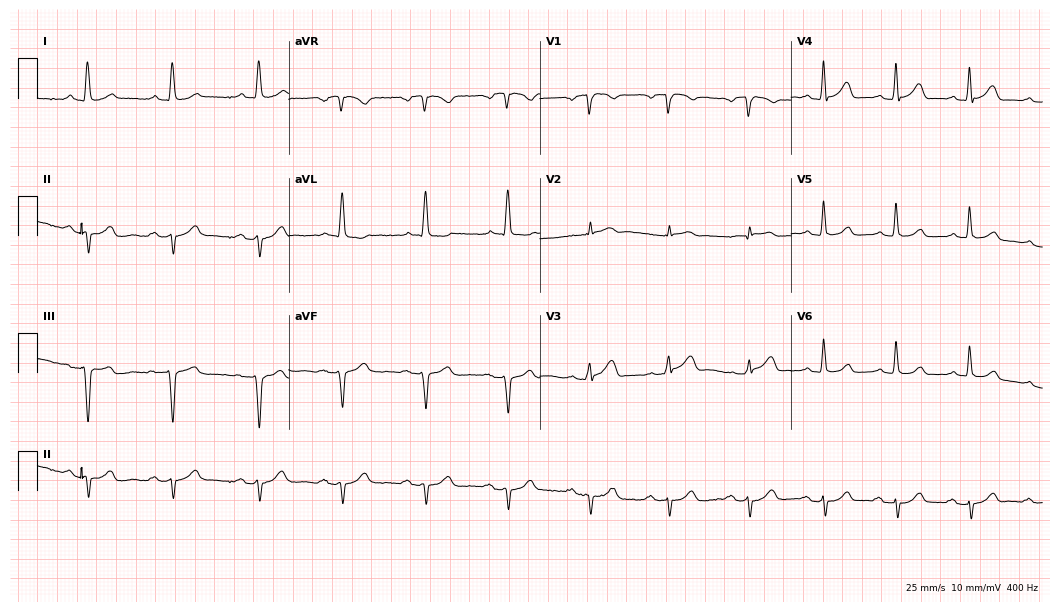
Standard 12-lead ECG recorded from a man, 81 years old. None of these six findings is recorded: first-degree AV block, right bundle branch block, left bundle branch block, sinus bradycardia, atrial fibrillation, sinus tachycardia.